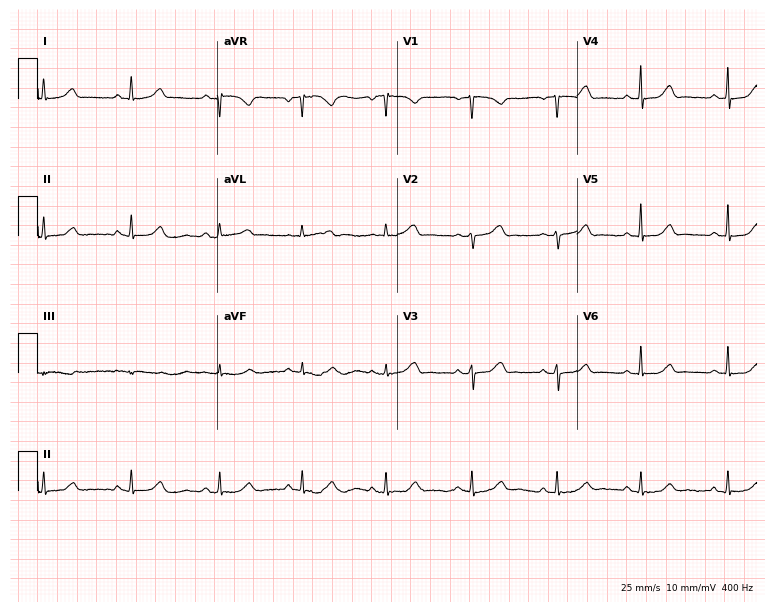
ECG — a 46-year-old woman. Labelled as a normal ECG.